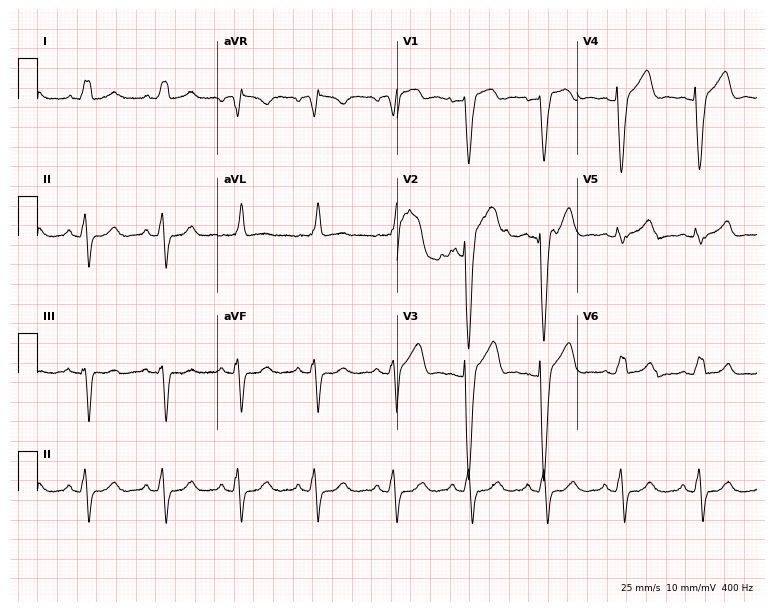
Standard 12-lead ECG recorded from a female patient, 53 years old. The tracing shows left bundle branch block.